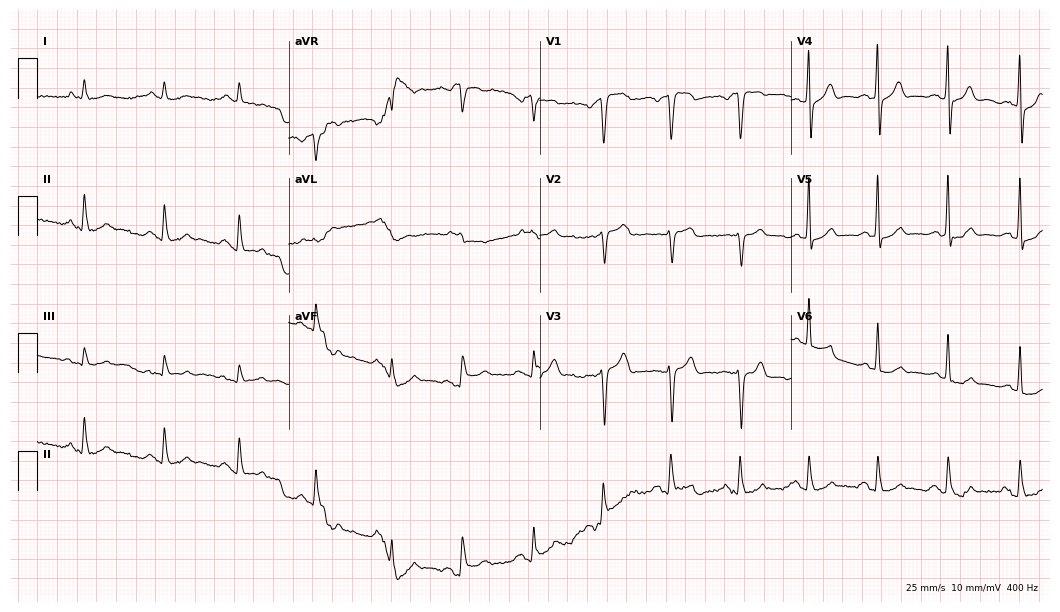
Electrocardiogram (10.2-second recording at 400 Hz), a male, 76 years old. Of the six screened findings (first-degree AV block, right bundle branch block, left bundle branch block, sinus bradycardia, atrial fibrillation, sinus tachycardia), none is recorded.